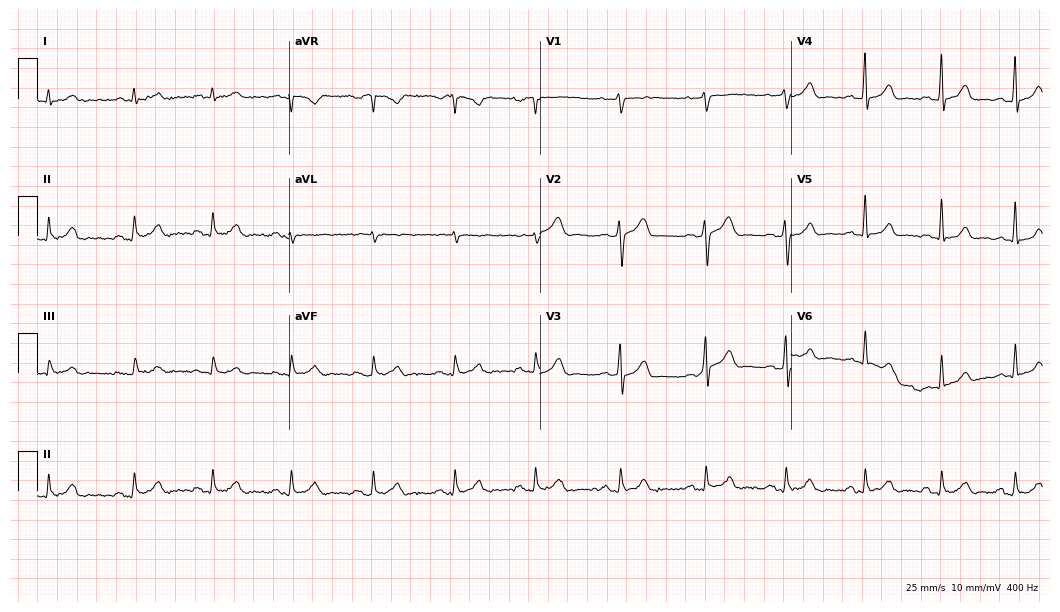
12-lead ECG from a male patient, 32 years old (10.2-second recording at 400 Hz). Recorded interpretation: within normal limits.